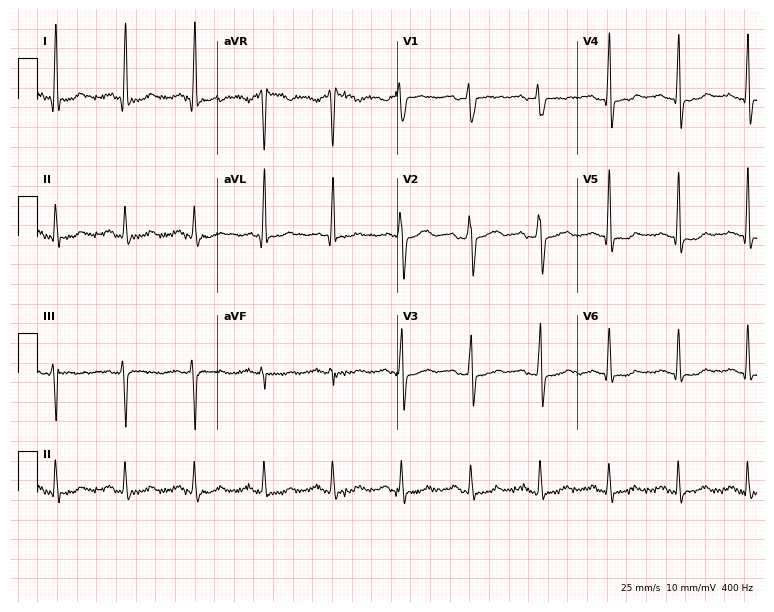
Standard 12-lead ECG recorded from a 50-year-old male (7.3-second recording at 400 Hz). Read as a normal ECG.